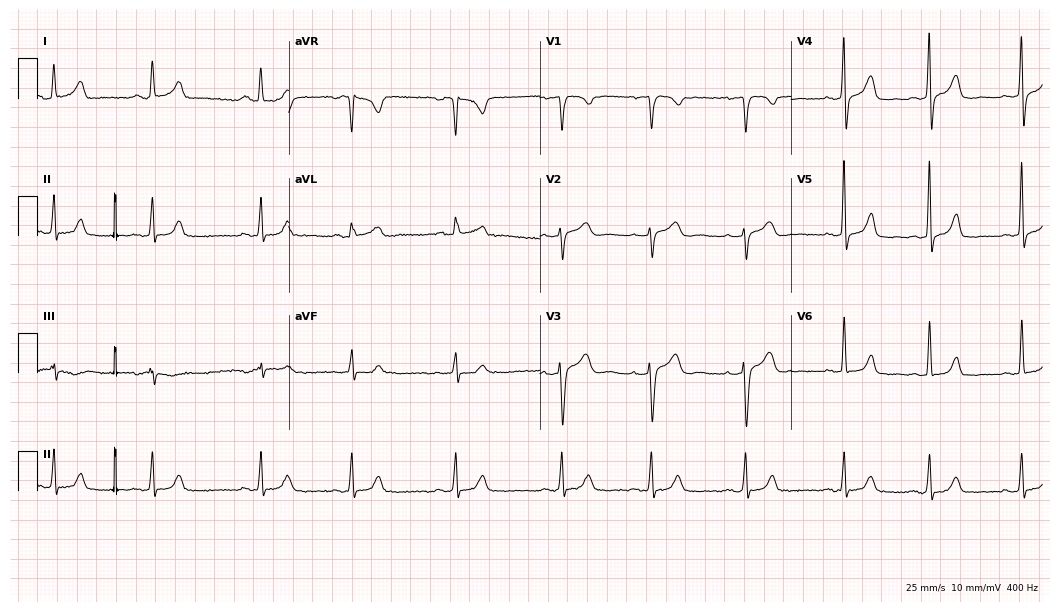
12-lead ECG from a 35-year-old female patient. Recorded interpretation: within normal limits.